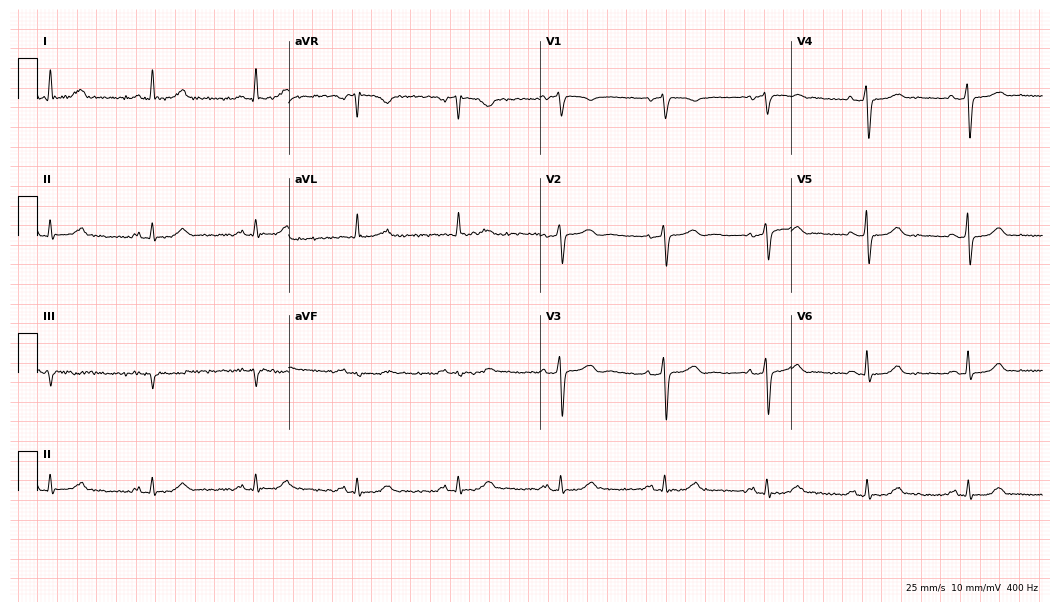
12-lead ECG (10.2-second recording at 400 Hz) from a 55-year-old female. Labelled as a normal ECG.